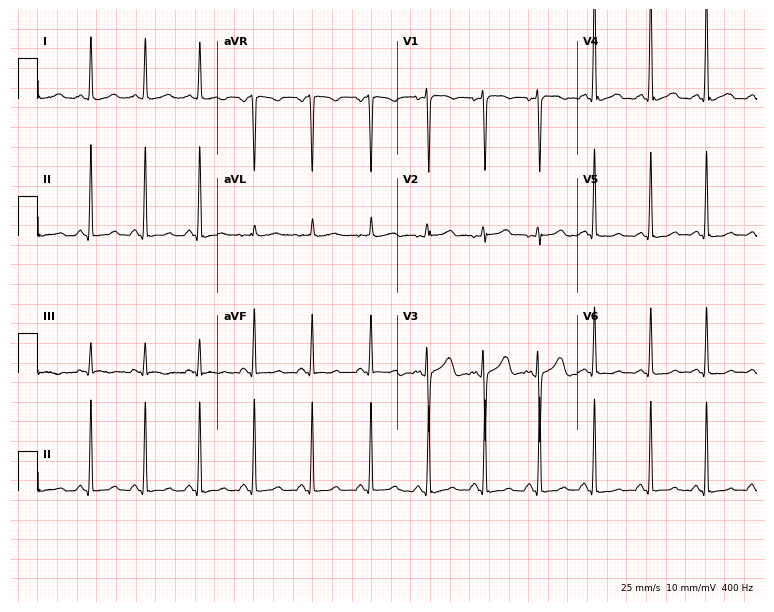
Electrocardiogram (7.3-second recording at 400 Hz), a female, 22 years old. Interpretation includes sinus tachycardia (a sinus rate of 100 beats per minute or more).